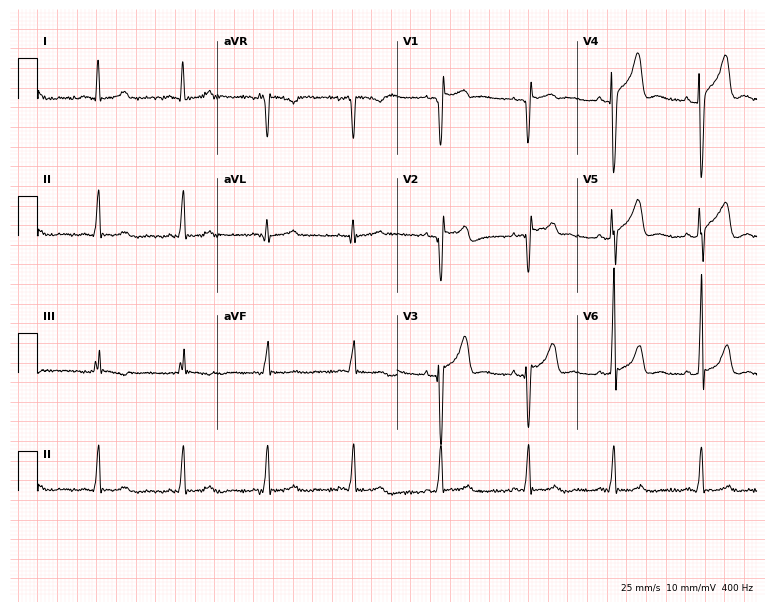
ECG (7.3-second recording at 400 Hz) — a 37-year-old male patient. Screened for six findings — first-degree AV block, right bundle branch block, left bundle branch block, sinus bradycardia, atrial fibrillation, sinus tachycardia — none is recorded.